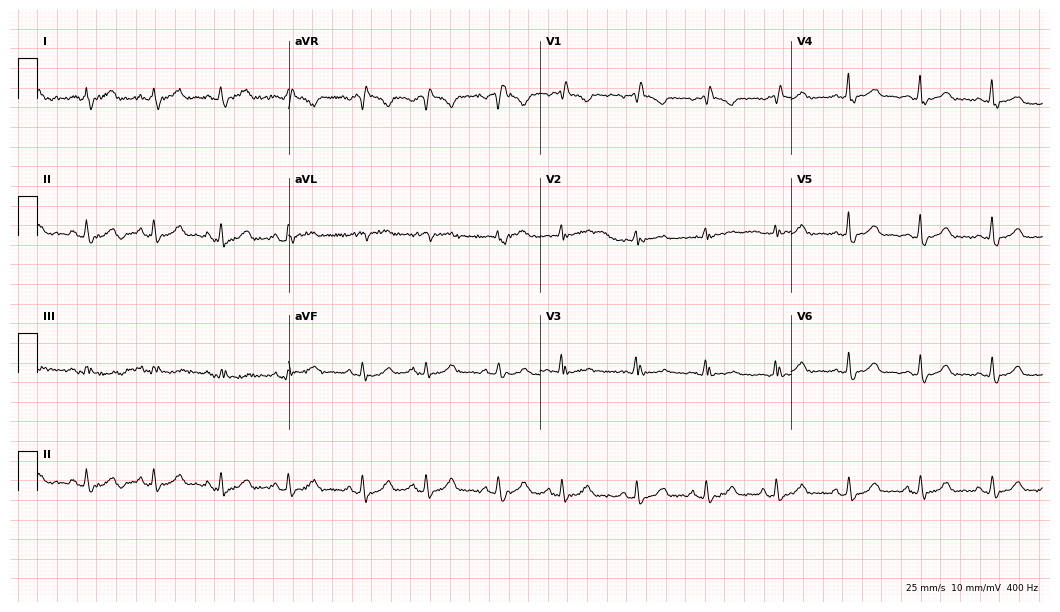
12-lead ECG (10.2-second recording at 400 Hz) from a 57-year-old female. Findings include right bundle branch block.